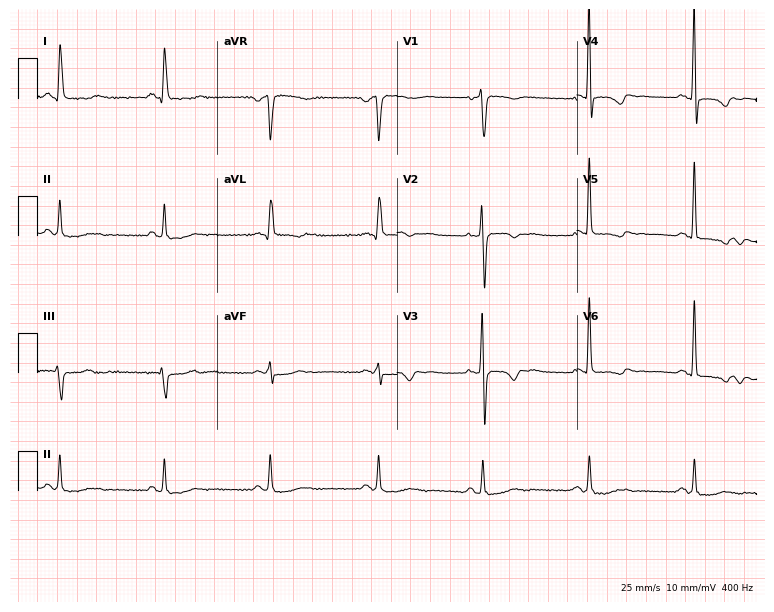
Electrocardiogram (7.3-second recording at 400 Hz), a female, 50 years old. Of the six screened findings (first-degree AV block, right bundle branch block, left bundle branch block, sinus bradycardia, atrial fibrillation, sinus tachycardia), none is recorded. Only these six findings were labelled.